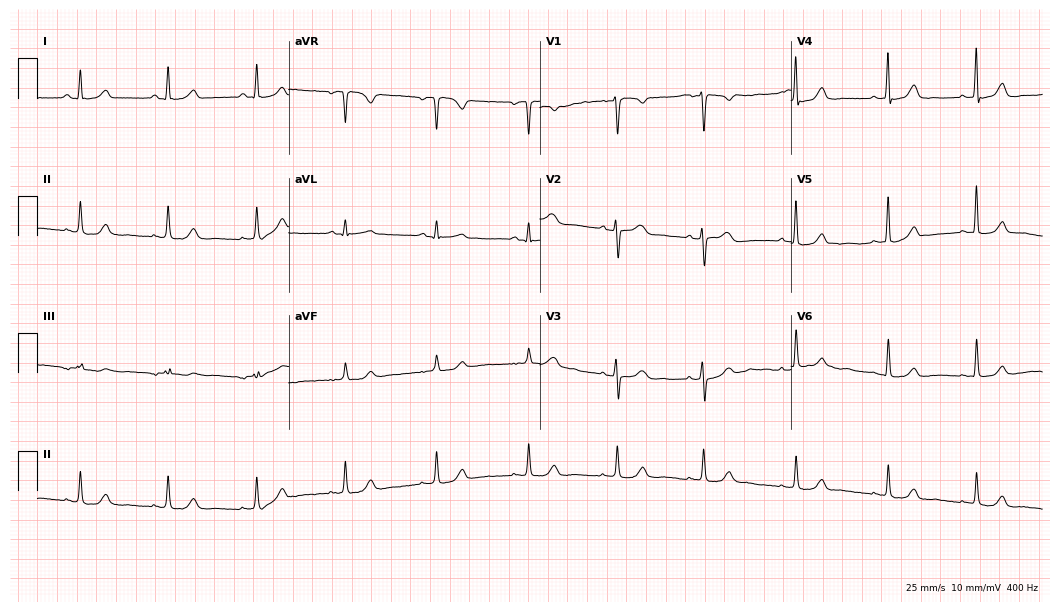
Electrocardiogram, a 37-year-old female patient. Overall reading on record: normal ECG.